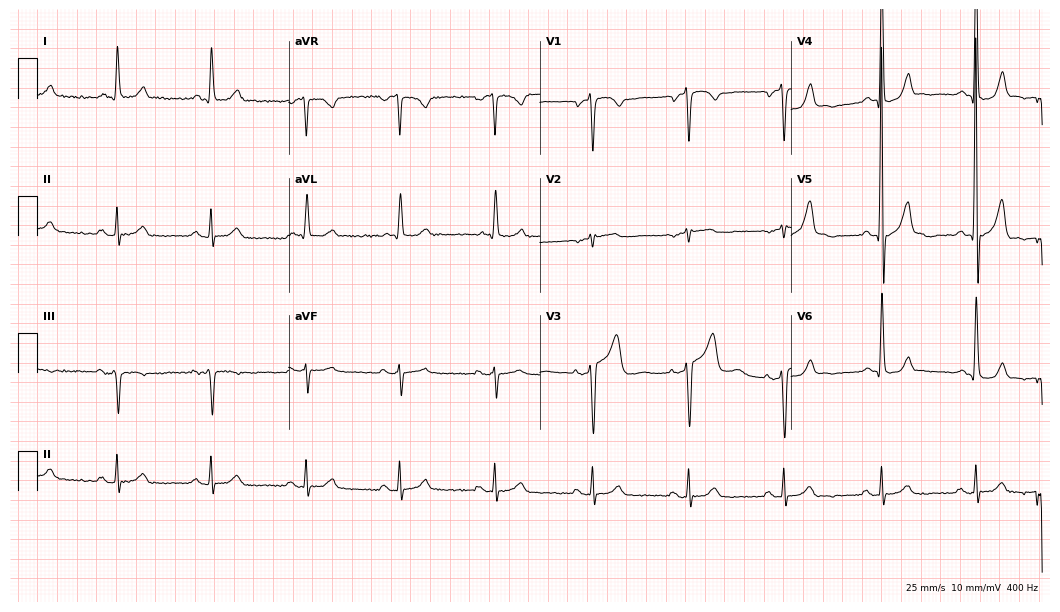
Resting 12-lead electrocardiogram. Patient: a male, 67 years old. Read as a normal ECG.